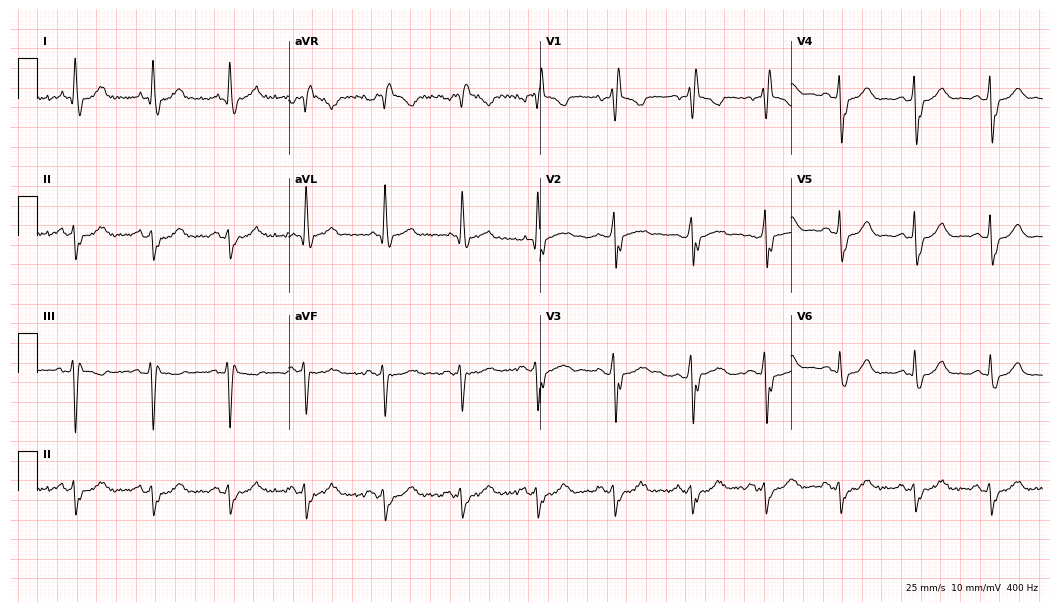
ECG — a male, 70 years old. Screened for six findings — first-degree AV block, right bundle branch block, left bundle branch block, sinus bradycardia, atrial fibrillation, sinus tachycardia — none is recorded.